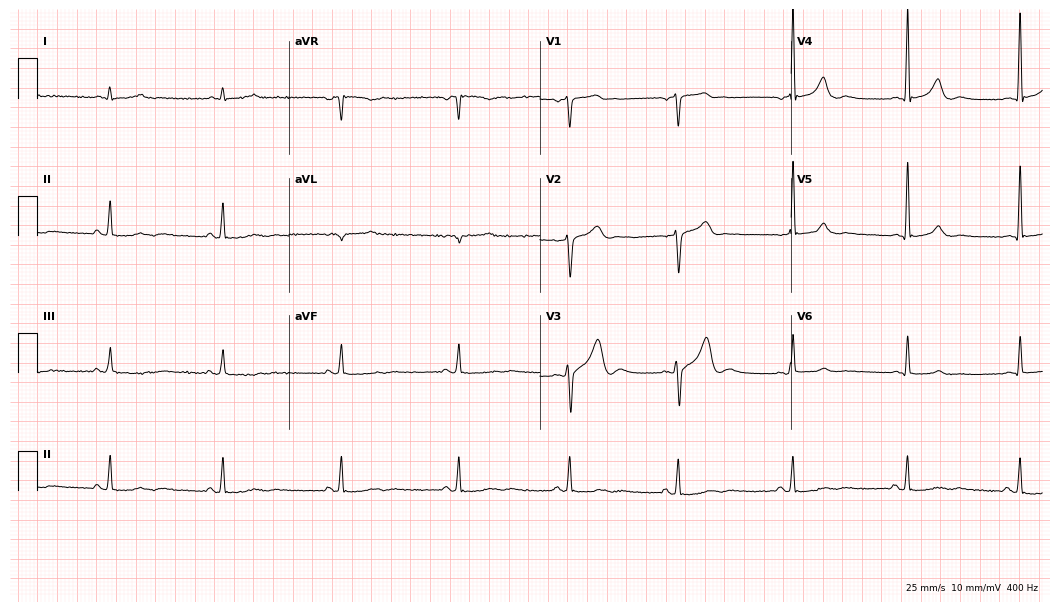
Resting 12-lead electrocardiogram. Patient: a 60-year-old man. None of these six findings is recorded: first-degree AV block, right bundle branch block, left bundle branch block, sinus bradycardia, atrial fibrillation, sinus tachycardia.